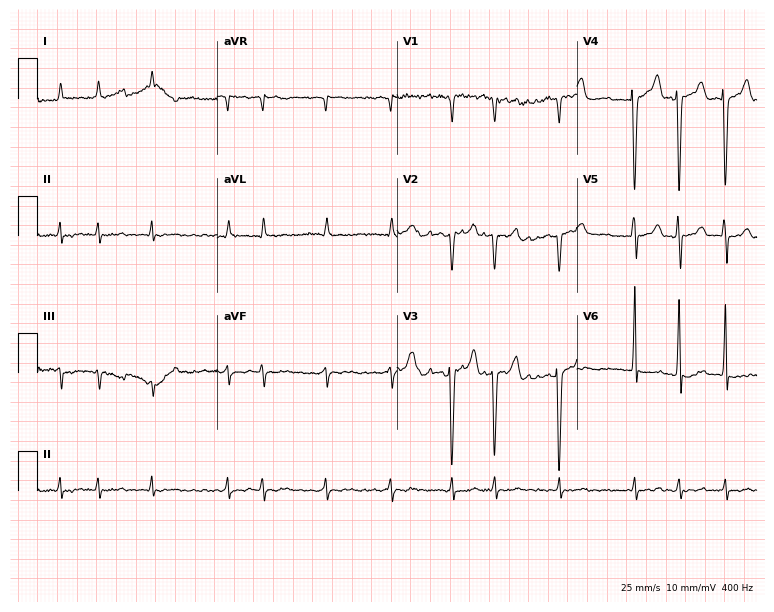
12-lead ECG (7.3-second recording at 400 Hz) from an 85-year-old woman. Findings include atrial fibrillation.